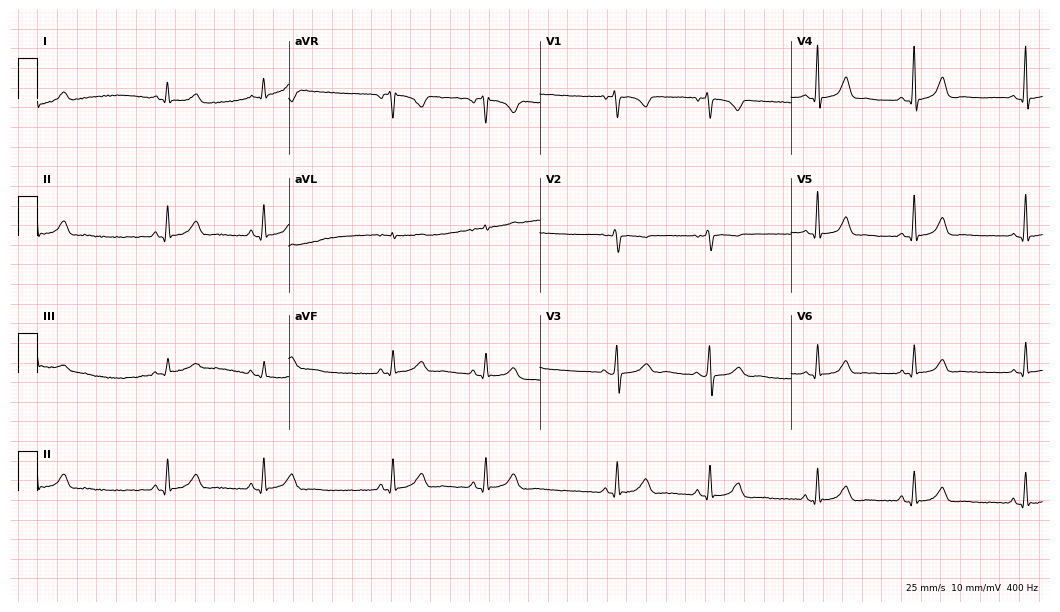
12-lead ECG (10.2-second recording at 400 Hz) from a woman, 43 years old. Labelled as a normal ECG.